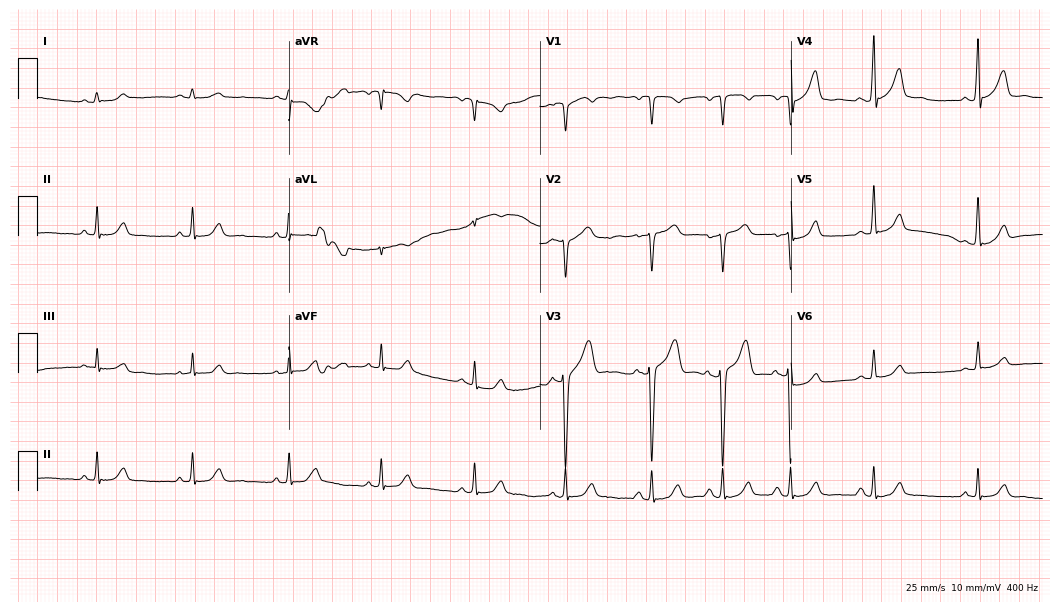
Electrocardiogram (10.2-second recording at 400 Hz), a male, 41 years old. Of the six screened findings (first-degree AV block, right bundle branch block (RBBB), left bundle branch block (LBBB), sinus bradycardia, atrial fibrillation (AF), sinus tachycardia), none is recorded.